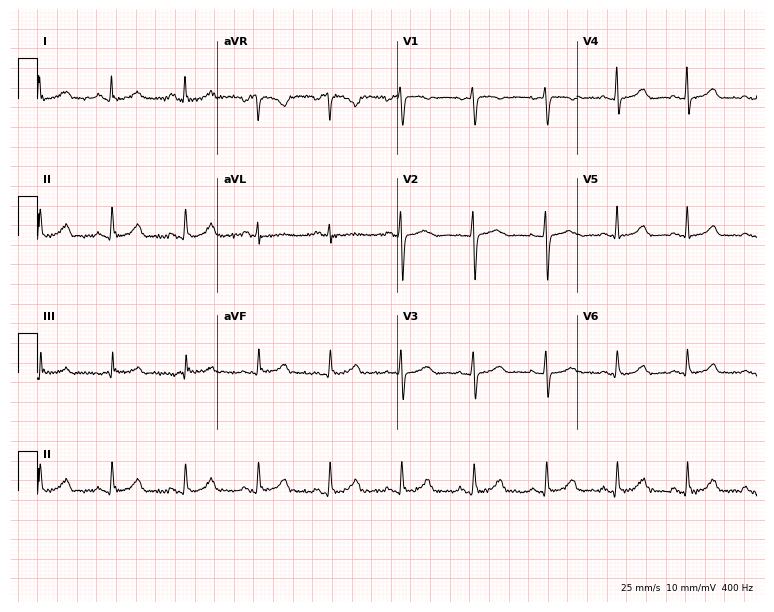
ECG (7.3-second recording at 400 Hz) — a 45-year-old woman. Labelled as a normal ECG.